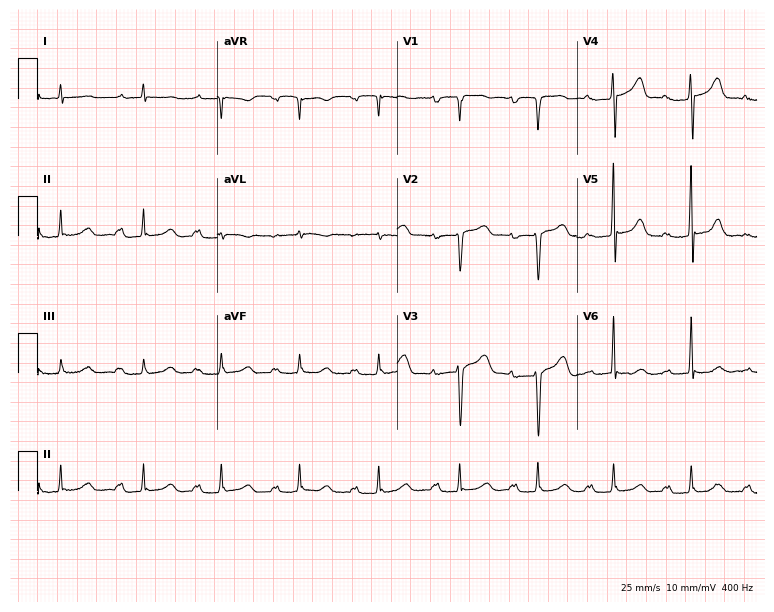
ECG (7.3-second recording at 400 Hz) — a male patient, 81 years old. Findings include first-degree AV block.